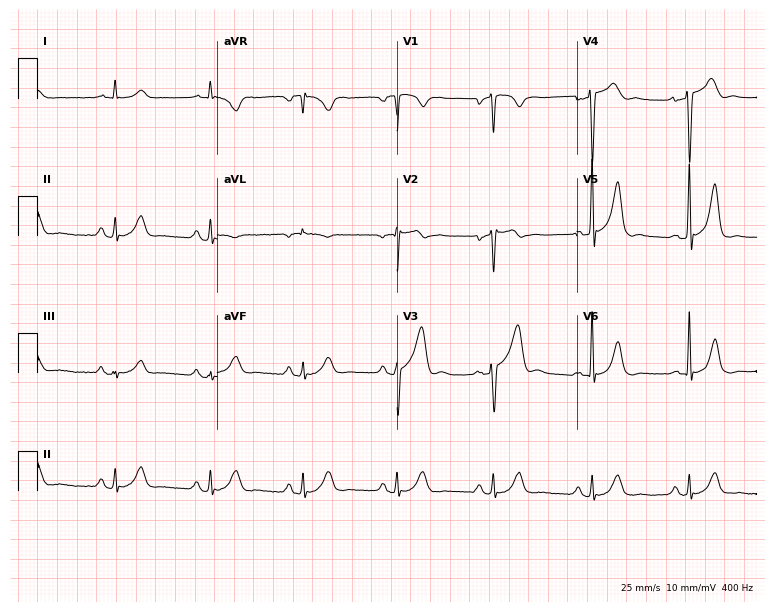
Resting 12-lead electrocardiogram (7.3-second recording at 400 Hz). Patient: a male, 65 years old. None of these six findings is recorded: first-degree AV block, right bundle branch block, left bundle branch block, sinus bradycardia, atrial fibrillation, sinus tachycardia.